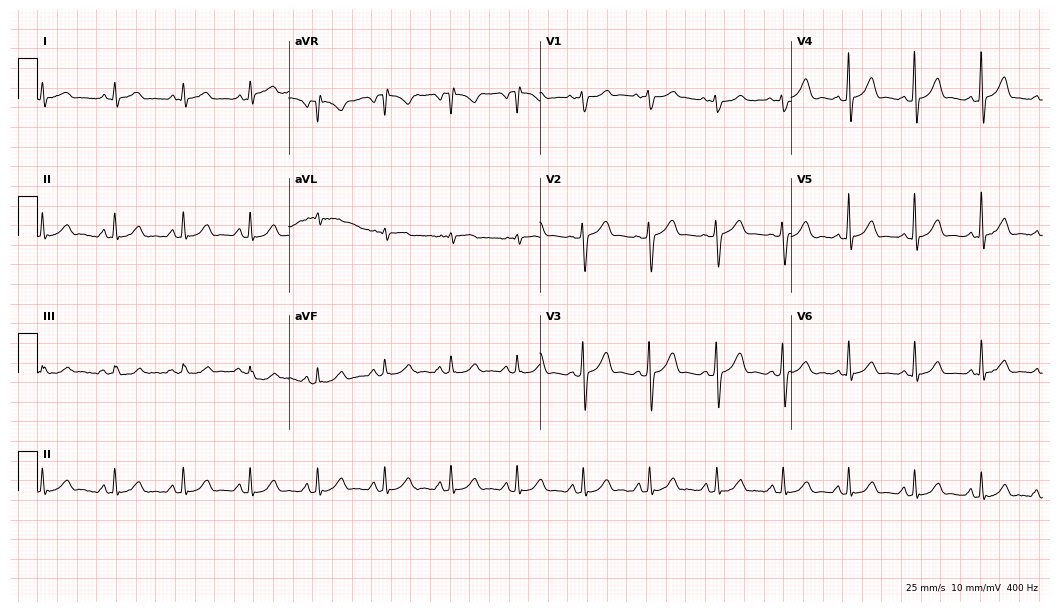
12-lead ECG from a male, 61 years old. Labelled as a normal ECG.